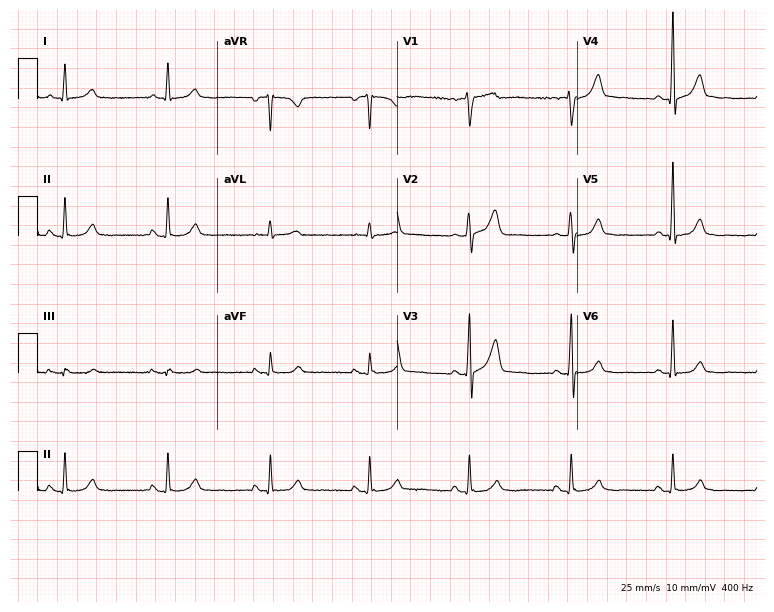
ECG (7.3-second recording at 400 Hz) — a male patient, 60 years old. Labelled as a normal ECG.